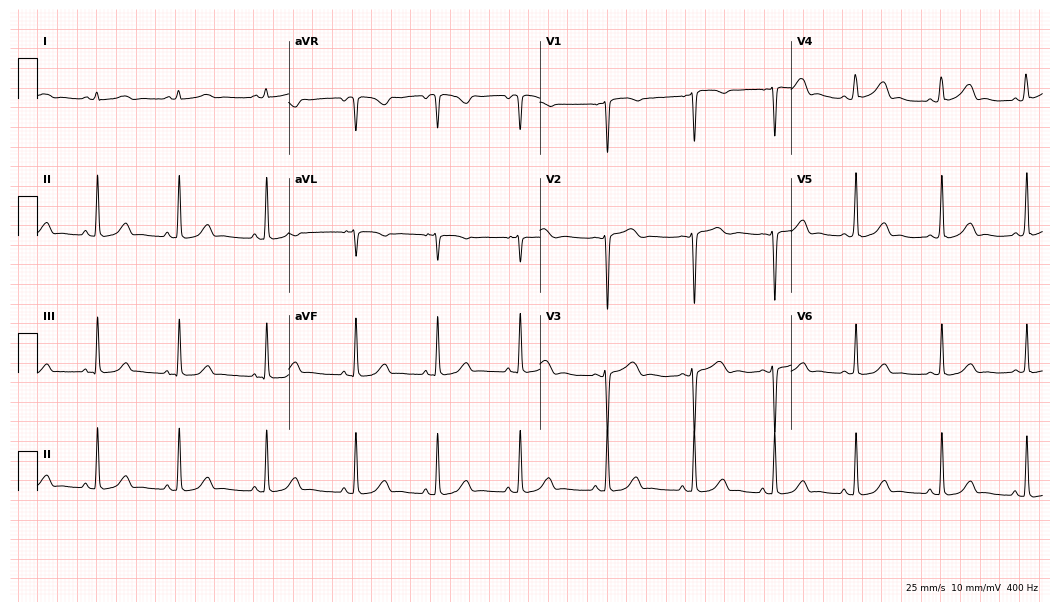
ECG — a woman, 29 years old. Screened for six findings — first-degree AV block, right bundle branch block, left bundle branch block, sinus bradycardia, atrial fibrillation, sinus tachycardia — none is recorded. Findings outside these six are not listed.